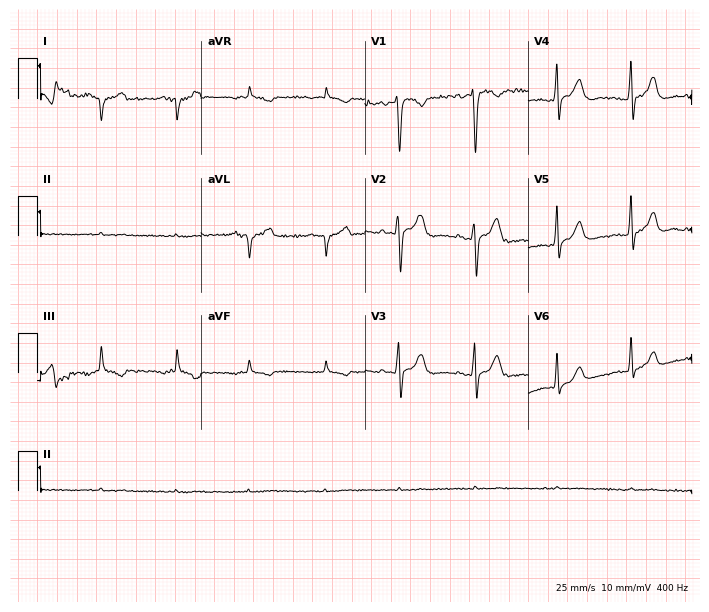
Standard 12-lead ECG recorded from a female patient, 28 years old (6.7-second recording at 400 Hz). None of these six findings is recorded: first-degree AV block, right bundle branch block, left bundle branch block, sinus bradycardia, atrial fibrillation, sinus tachycardia. Only these six findings were labelled.